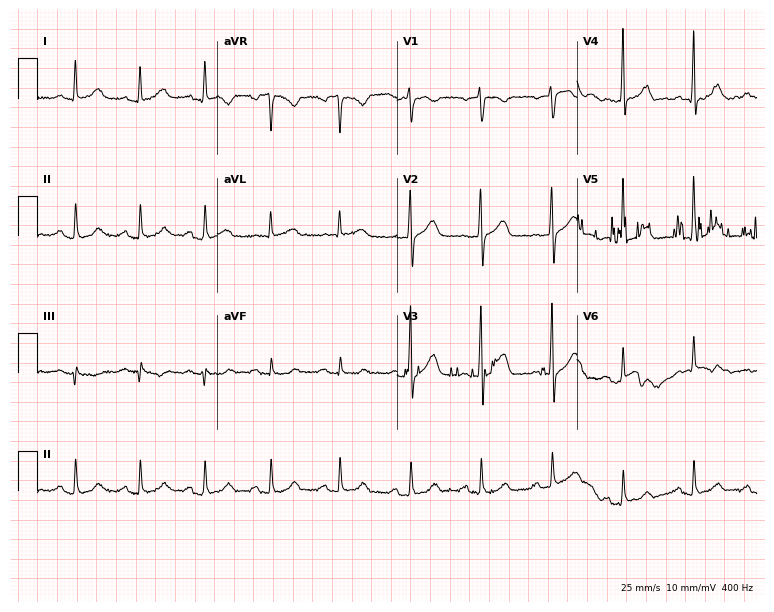
Electrocardiogram, a 68-year-old woman. Of the six screened findings (first-degree AV block, right bundle branch block (RBBB), left bundle branch block (LBBB), sinus bradycardia, atrial fibrillation (AF), sinus tachycardia), none is recorded. Only these six findings were labelled.